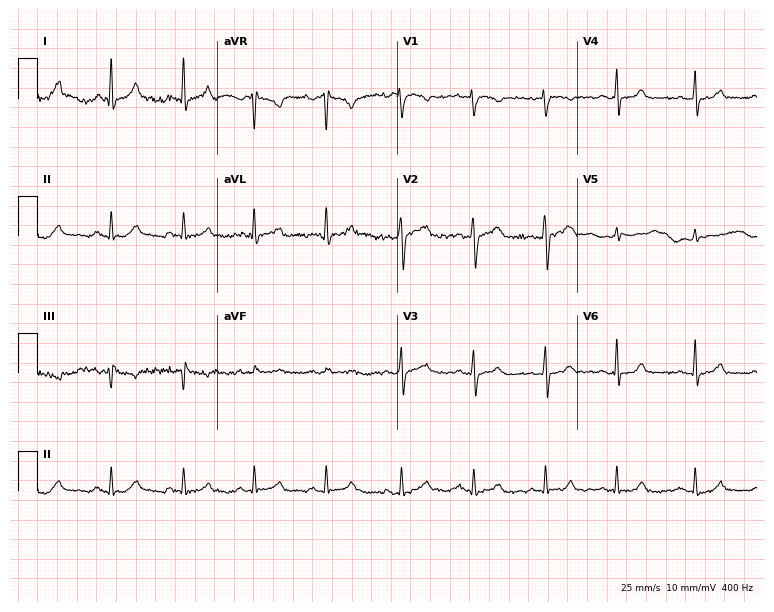
Standard 12-lead ECG recorded from a female, 30 years old. None of these six findings is recorded: first-degree AV block, right bundle branch block, left bundle branch block, sinus bradycardia, atrial fibrillation, sinus tachycardia.